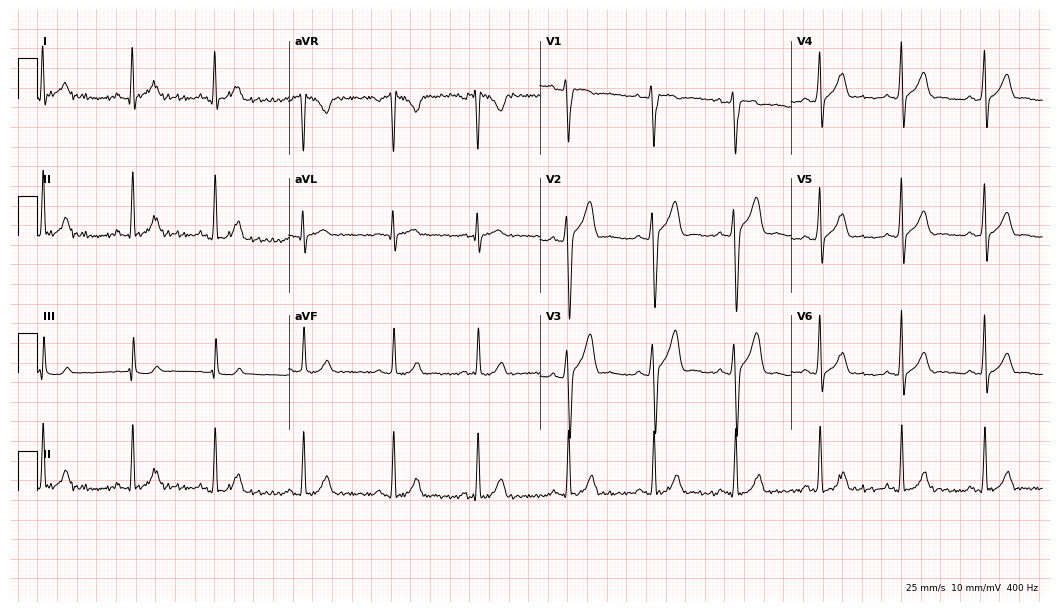
12-lead ECG (10.2-second recording at 400 Hz) from a man, 18 years old. Labelled as a normal ECG.